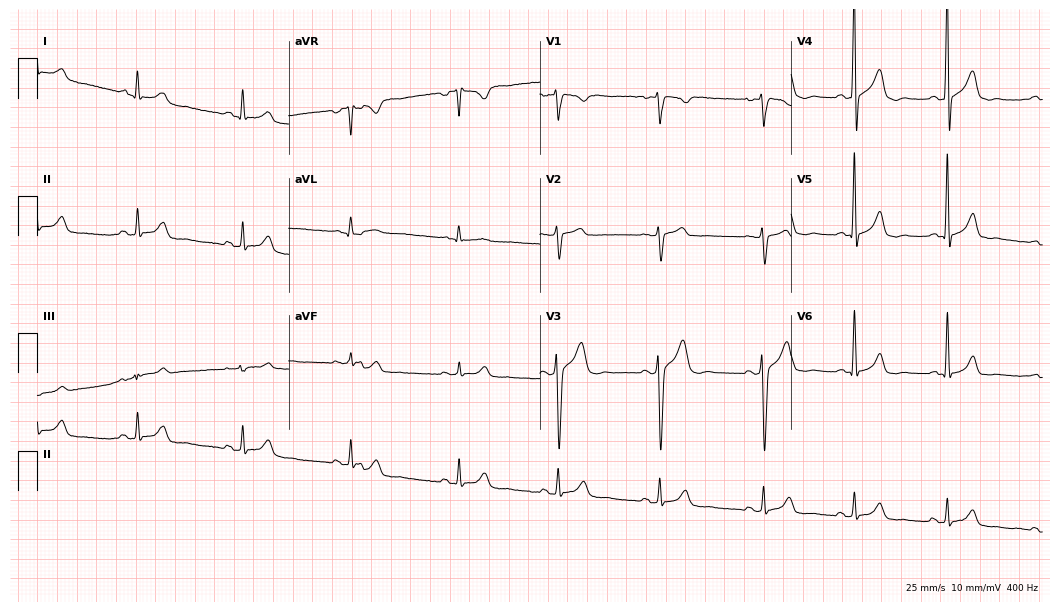
Standard 12-lead ECG recorded from a man, 37 years old. Read as a normal ECG.